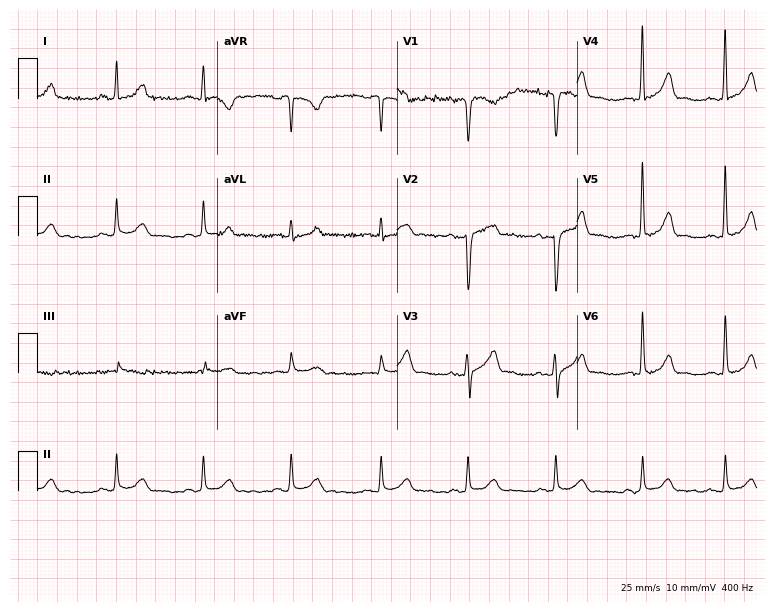
Electrocardiogram, a 44-year-old male patient. Overall reading on record: normal ECG.